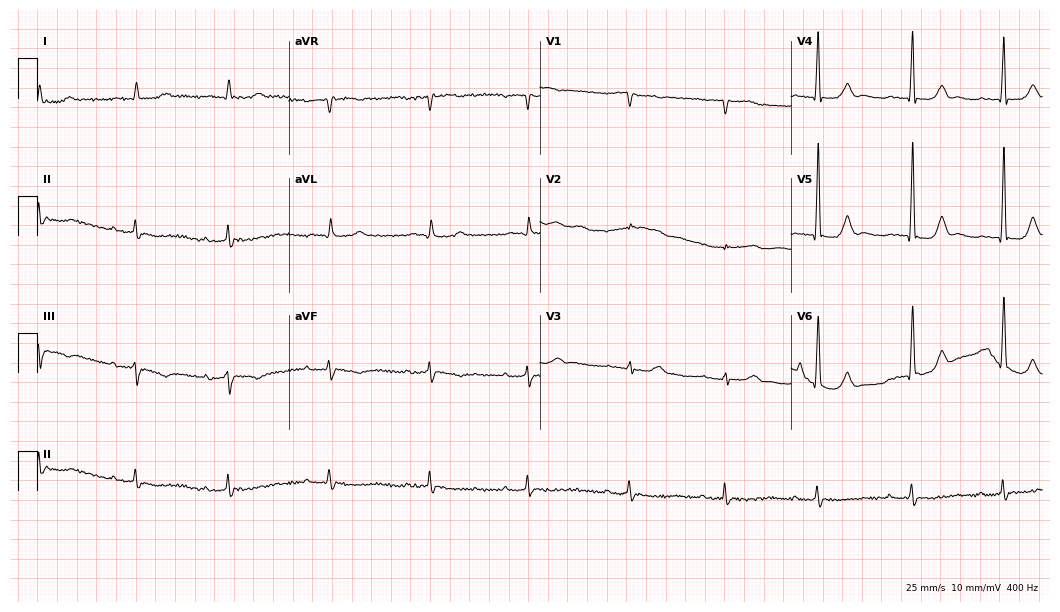
ECG — a male patient, 79 years old. Labelled as a normal ECG.